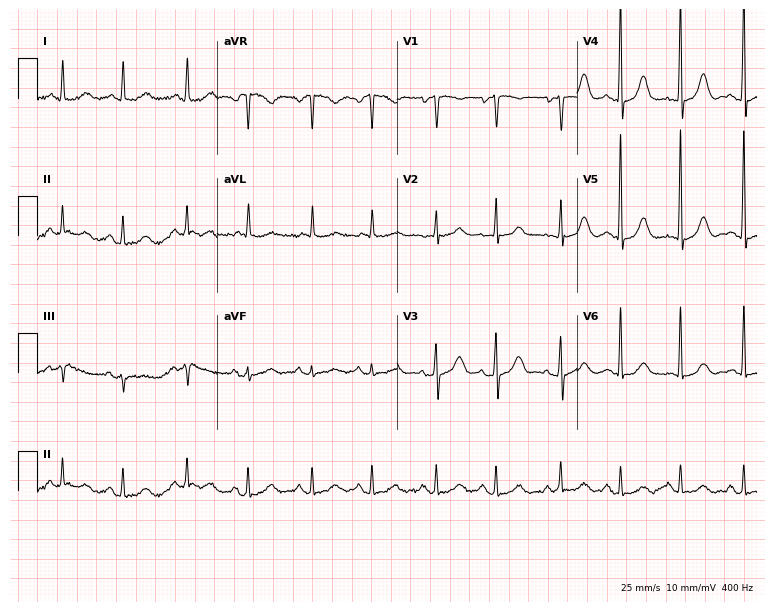
Resting 12-lead electrocardiogram (7.3-second recording at 400 Hz). Patient: a 78-year-old female. Read as a normal ECG.